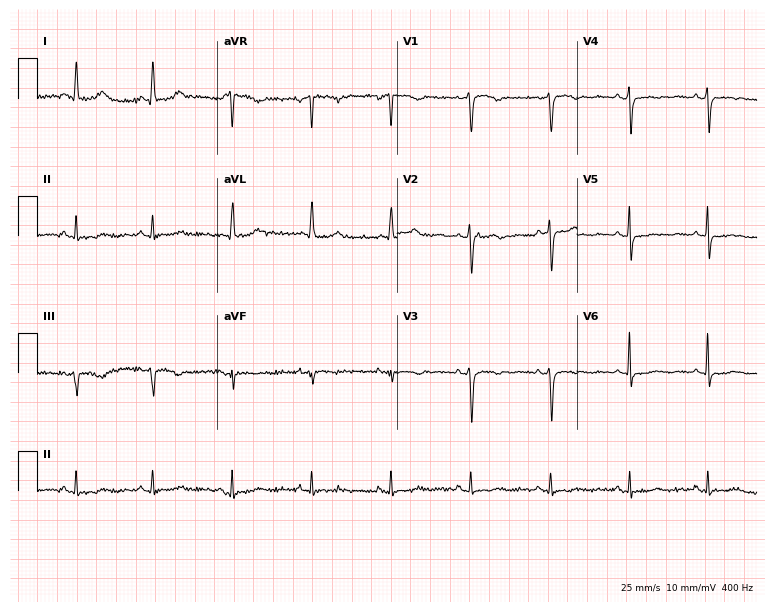
ECG — a female, 71 years old. Screened for six findings — first-degree AV block, right bundle branch block, left bundle branch block, sinus bradycardia, atrial fibrillation, sinus tachycardia — none is recorded. Other findings, if any, are not listed.